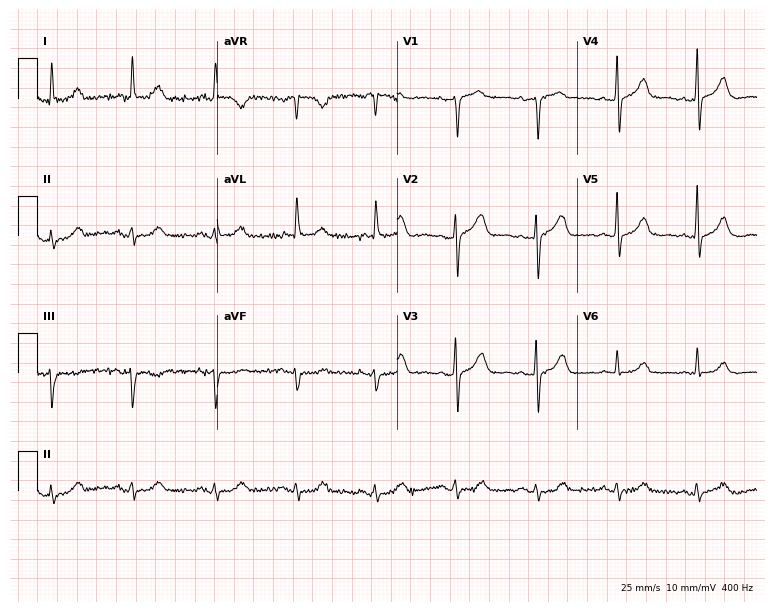
ECG (7.3-second recording at 400 Hz) — a 75-year-old female patient. Labelled as a normal ECG.